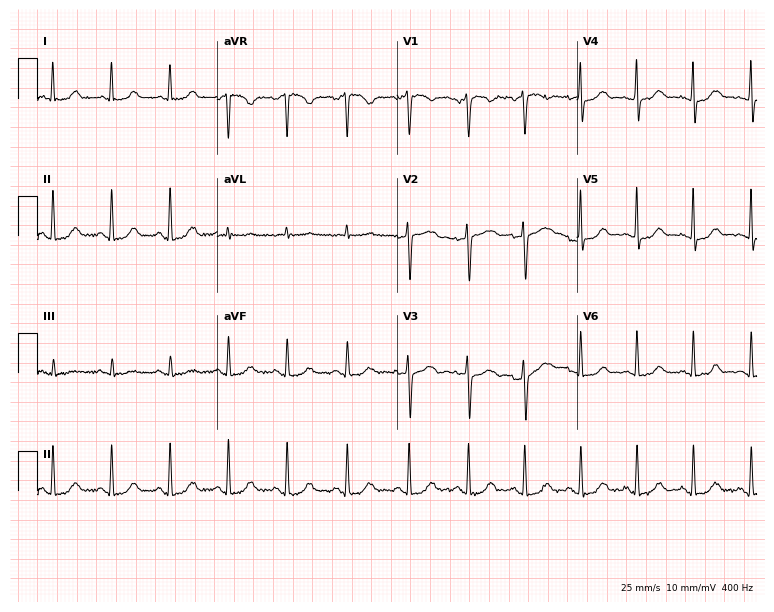
Standard 12-lead ECG recorded from a 32-year-old female. The tracing shows sinus tachycardia (a sinus rate of 100 beats per minute or more).